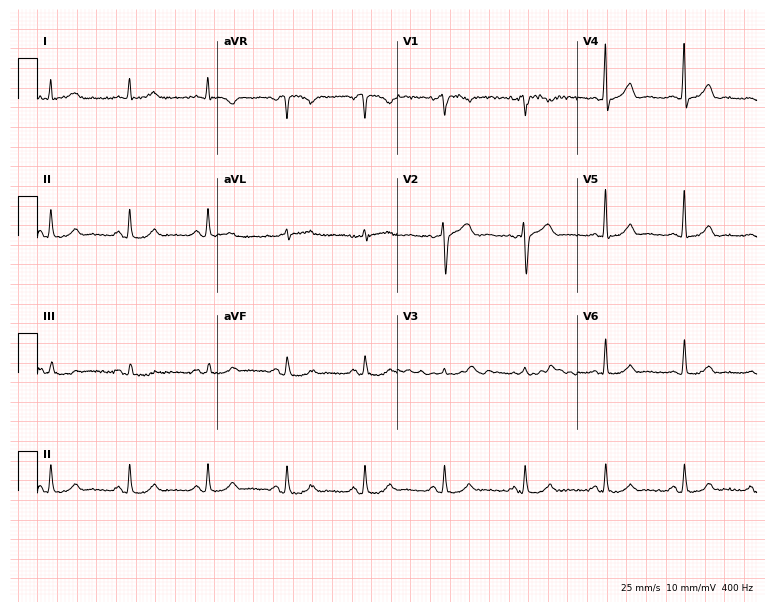
Electrocardiogram (7.3-second recording at 400 Hz), a male patient, 56 years old. Overall reading on record: normal ECG.